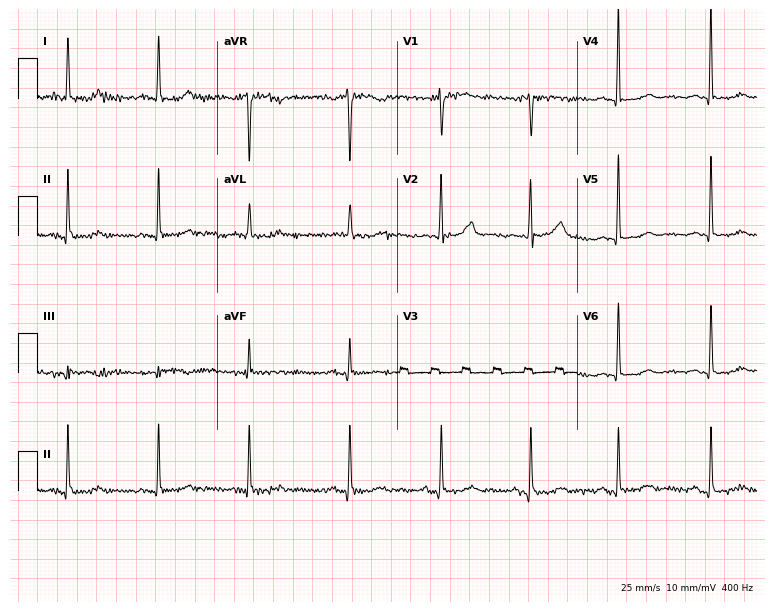
Standard 12-lead ECG recorded from a woman, 67 years old. None of these six findings is recorded: first-degree AV block, right bundle branch block, left bundle branch block, sinus bradycardia, atrial fibrillation, sinus tachycardia.